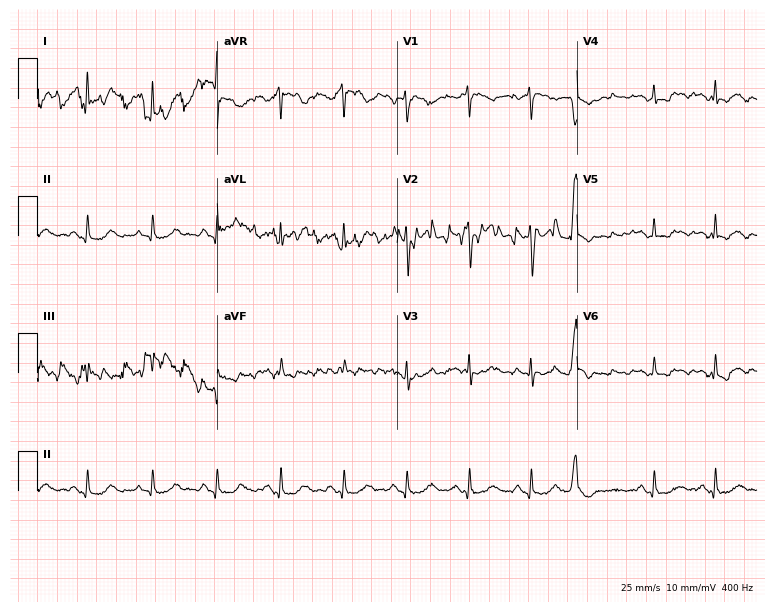
Resting 12-lead electrocardiogram. Patient: a 68-year-old woman. None of these six findings is recorded: first-degree AV block, right bundle branch block, left bundle branch block, sinus bradycardia, atrial fibrillation, sinus tachycardia.